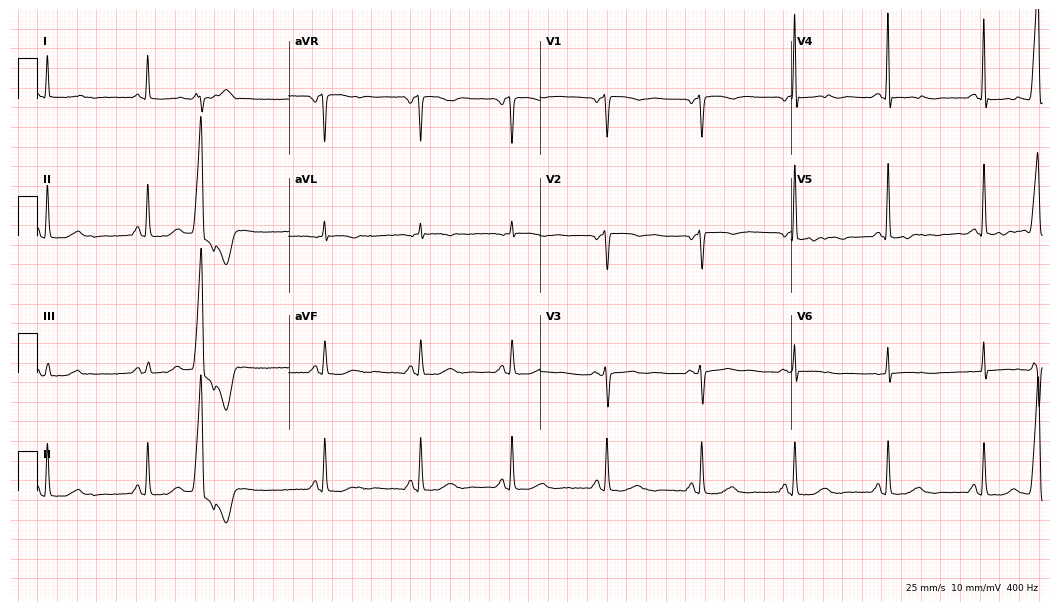
Resting 12-lead electrocardiogram (10.2-second recording at 400 Hz). Patient: a female, 68 years old. None of these six findings is recorded: first-degree AV block, right bundle branch block (RBBB), left bundle branch block (LBBB), sinus bradycardia, atrial fibrillation (AF), sinus tachycardia.